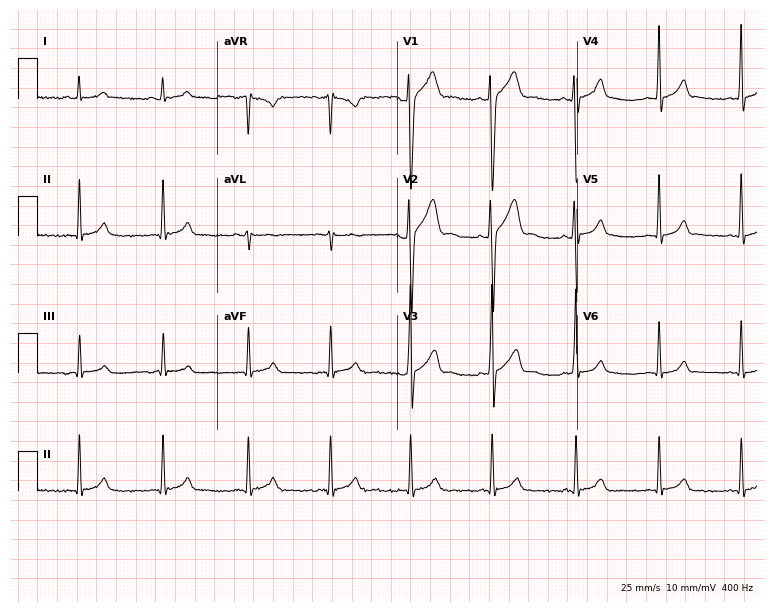
12-lead ECG from a male patient, 26 years old. No first-degree AV block, right bundle branch block, left bundle branch block, sinus bradycardia, atrial fibrillation or sinus tachycardia recorded for this tracing. Findings outside these six are not listed.